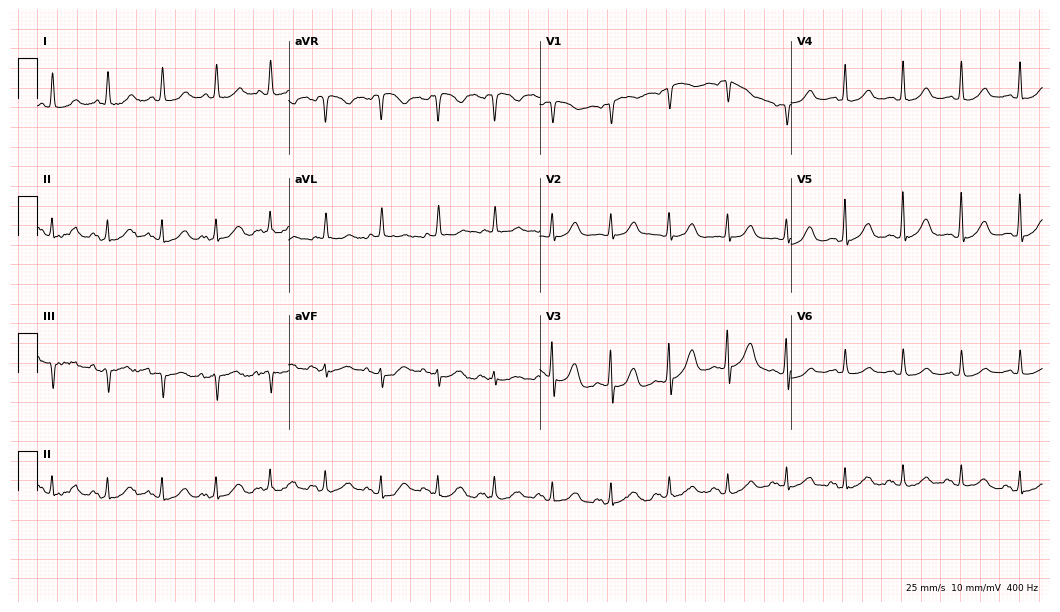
ECG (10.2-second recording at 400 Hz) — a woman, 71 years old. Findings include sinus tachycardia (a sinus rate of 100 beats per minute or more).